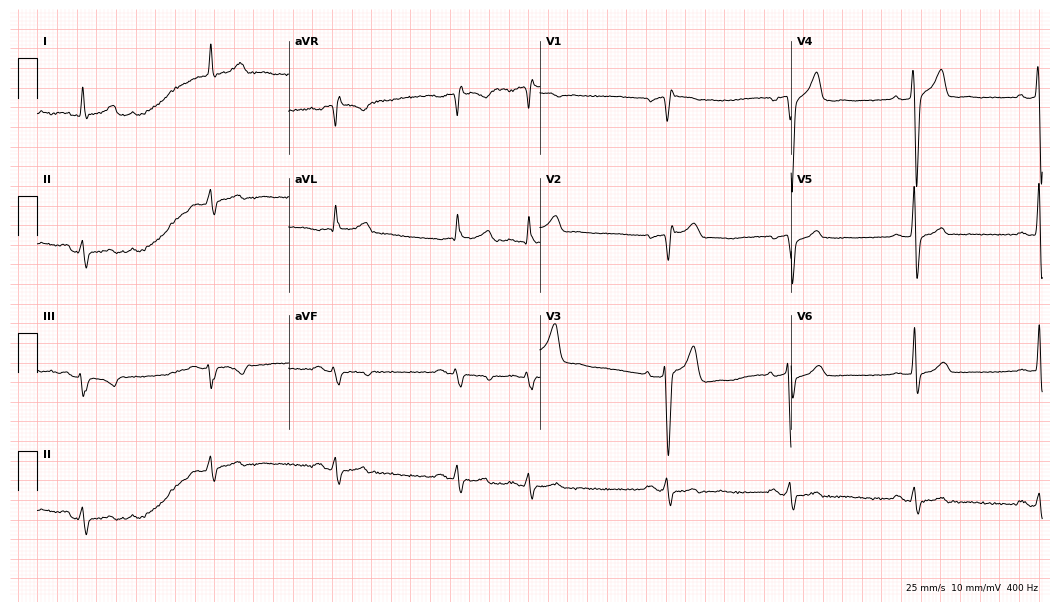
12-lead ECG from a 49-year-old man. Findings include right bundle branch block (RBBB), sinus bradycardia (a sinus rate of 50 beats per minute or less).